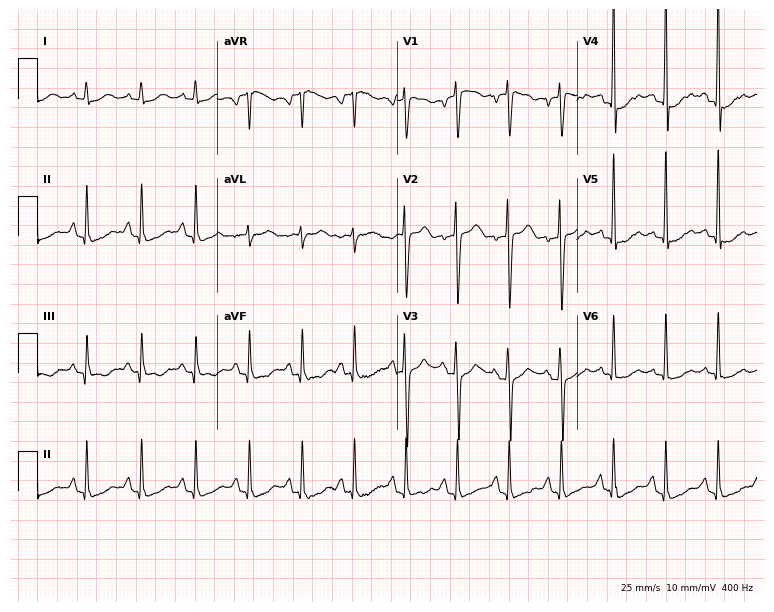
Electrocardiogram, a 63-year-old man. Of the six screened findings (first-degree AV block, right bundle branch block, left bundle branch block, sinus bradycardia, atrial fibrillation, sinus tachycardia), none is recorded.